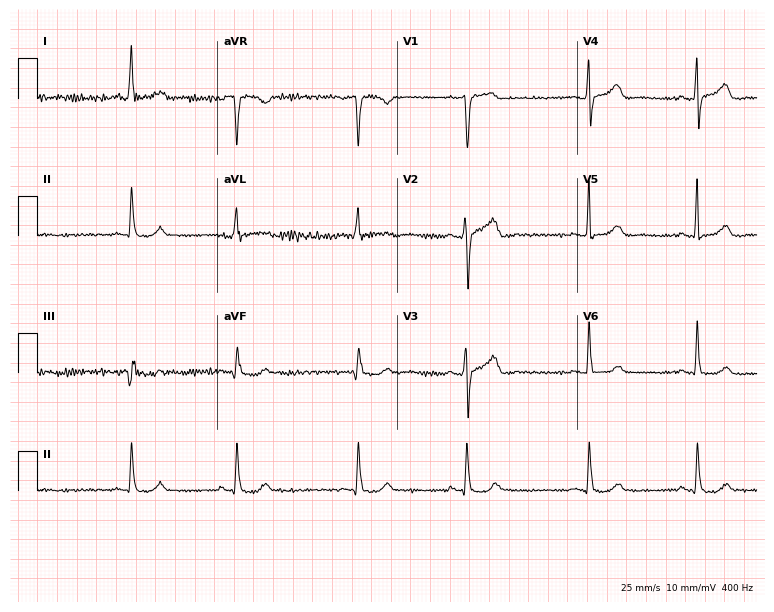
Electrocardiogram (7.3-second recording at 400 Hz), a female, 39 years old. Overall reading on record: normal ECG.